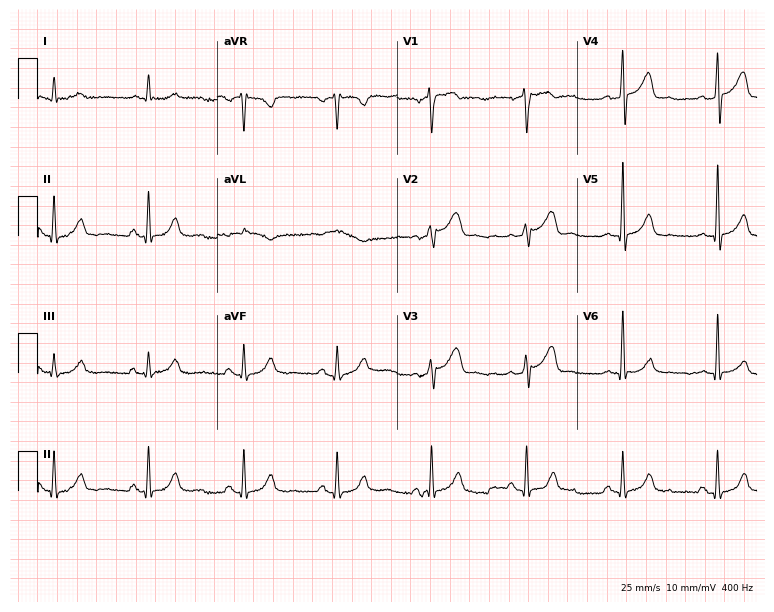
Standard 12-lead ECG recorded from a male, 73 years old. None of these six findings is recorded: first-degree AV block, right bundle branch block (RBBB), left bundle branch block (LBBB), sinus bradycardia, atrial fibrillation (AF), sinus tachycardia.